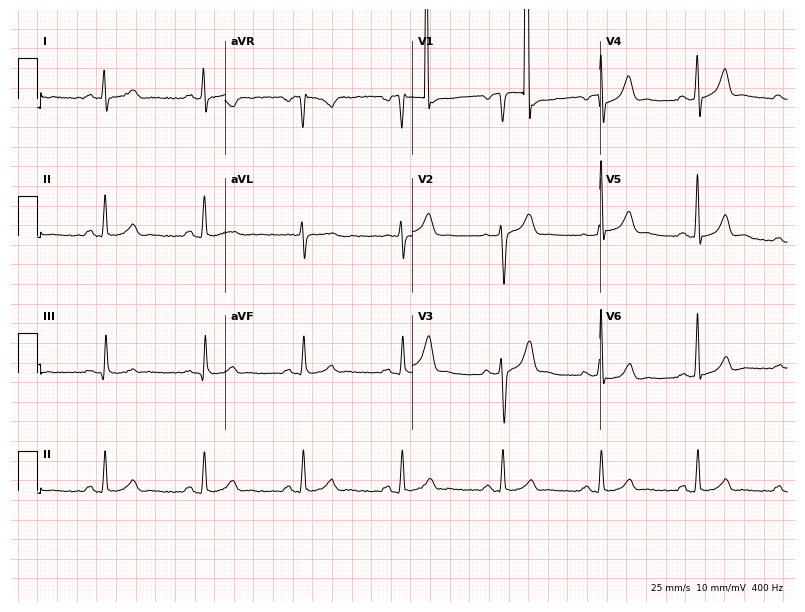
ECG (7.6-second recording at 400 Hz) — a male, 60 years old. Labelled as a normal ECG.